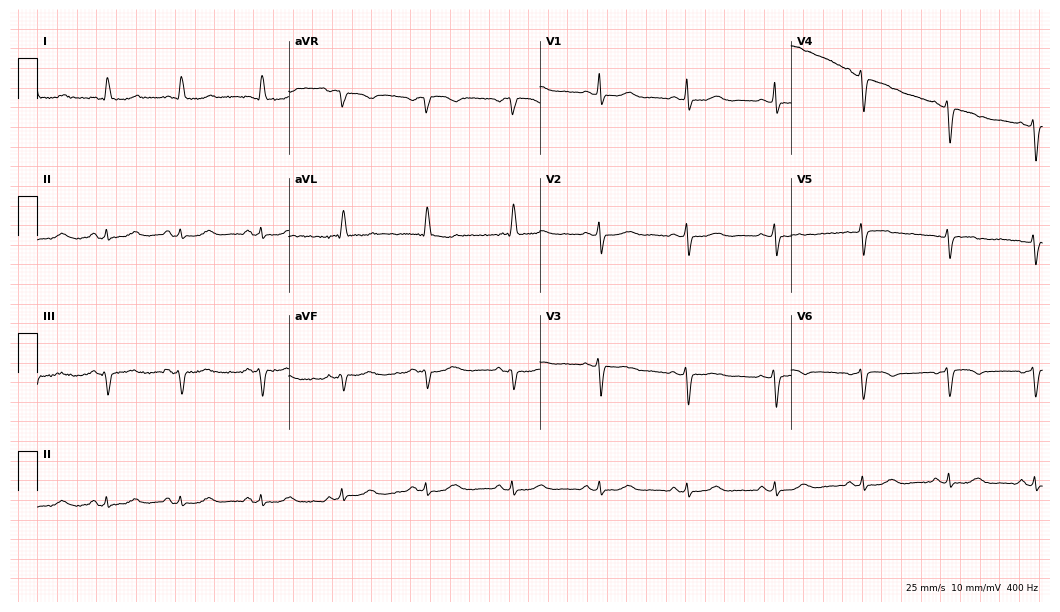
Resting 12-lead electrocardiogram (10.2-second recording at 400 Hz). Patient: a 75-year-old woman. None of these six findings is recorded: first-degree AV block, right bundle branch block (RBBB), left bundle branch block (LBBB), sinus bradycardia, atrial fibrillation (AF), sinus tachycardia. Other findings, if any, are not listed.